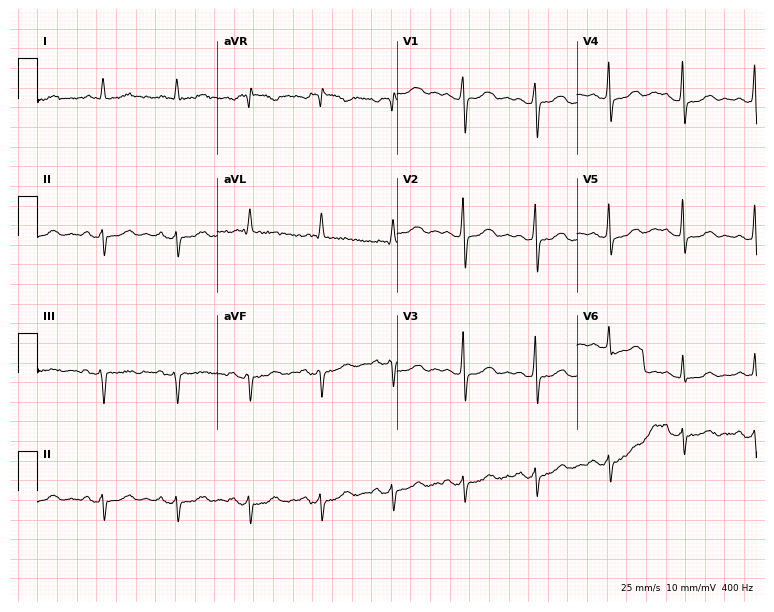
ECG — a 65-year-old woman. Screened for six findings — first-degree AV block, right bundle branch block (RBBB), left bundle branch block (LBBB), sinus bradycardia, atrial fibrillation (AF), sinus tachycardia — none is recorded.